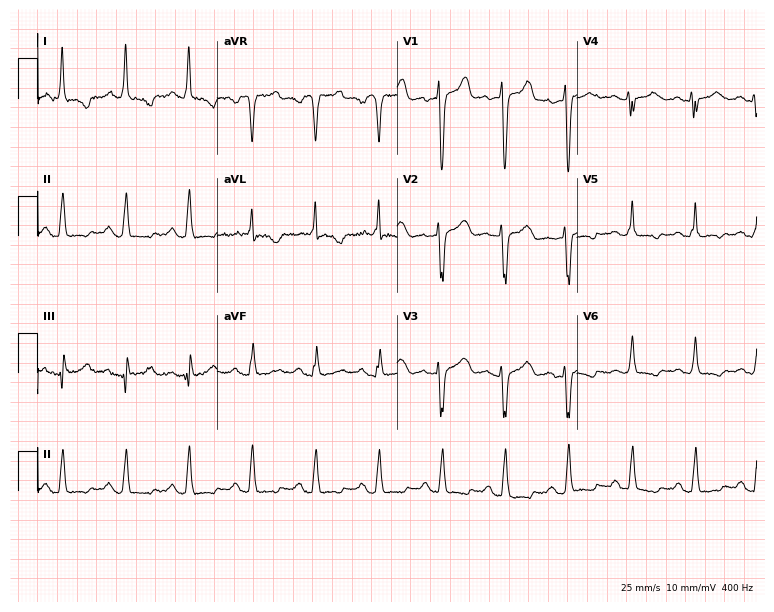
ECG (7.3-second recording at 400 Hz) — a 77-year-old woman. Screened for six findings — first-degree AV block, right bundle branch block, left bundle branch block, sinus bradycardia, atrial fibrillation, sinus tachycardia — none is recorded. Findings outside these six are not listed.